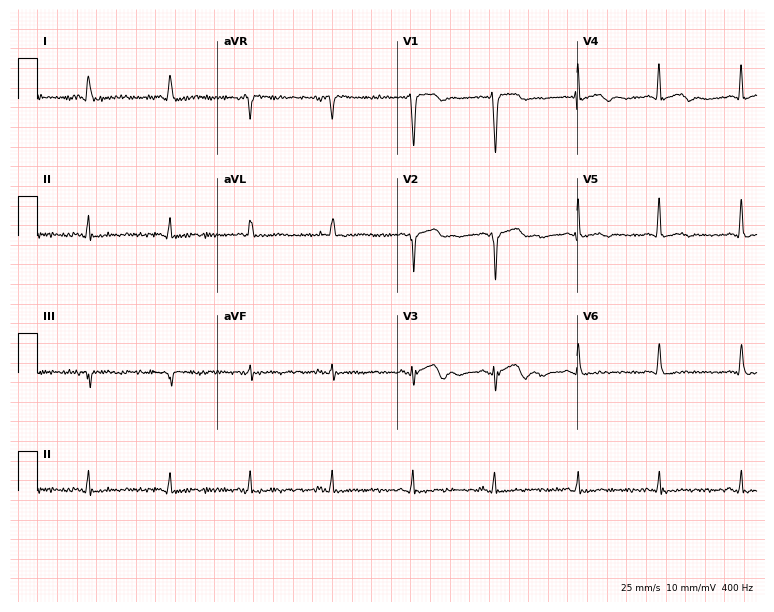
12-lead ECG (7.3-second recording at 400 Hz) from a woman, 75 years old. Screened for six findings — first-degree AV block, right bundle branch block, left bundle branch block, sinus bradycardia, atrial fibrillation, sinus tachycardia — none is recorded. Only these six findings were labelled.